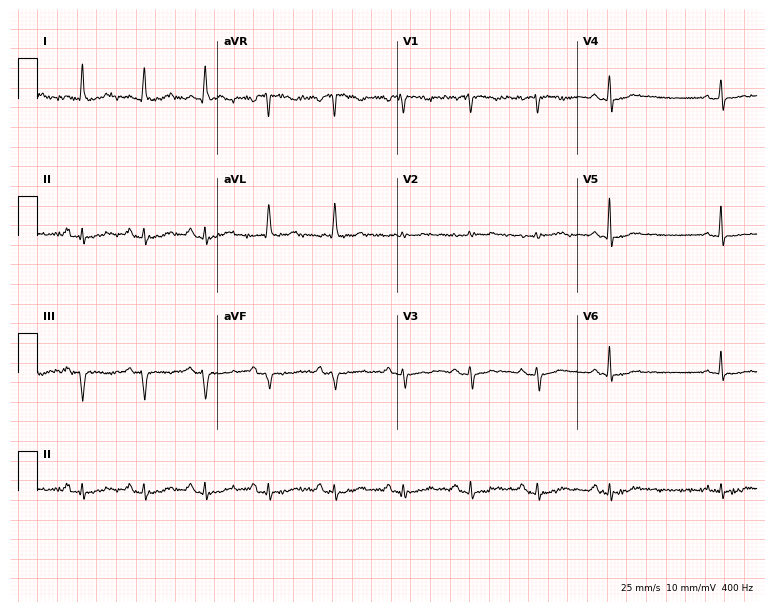
12-lead ECG from a female, 71 years old. Recorded interpretation: within normal limits.